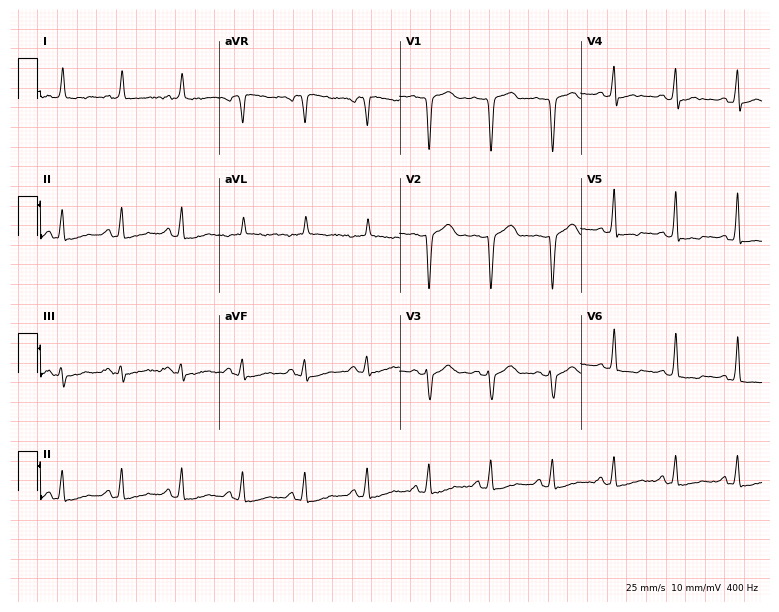
12-lead ECG (7.4-second recording at 400 Hz) from a 57-year-old man. Screened for six findings — first-degree AV block, right bundle branch block, left bundle branch block, sinus bradycardia, atrial fibrillation, sinus tachycardia — none is recorded. Other findings, if any, are not listed.